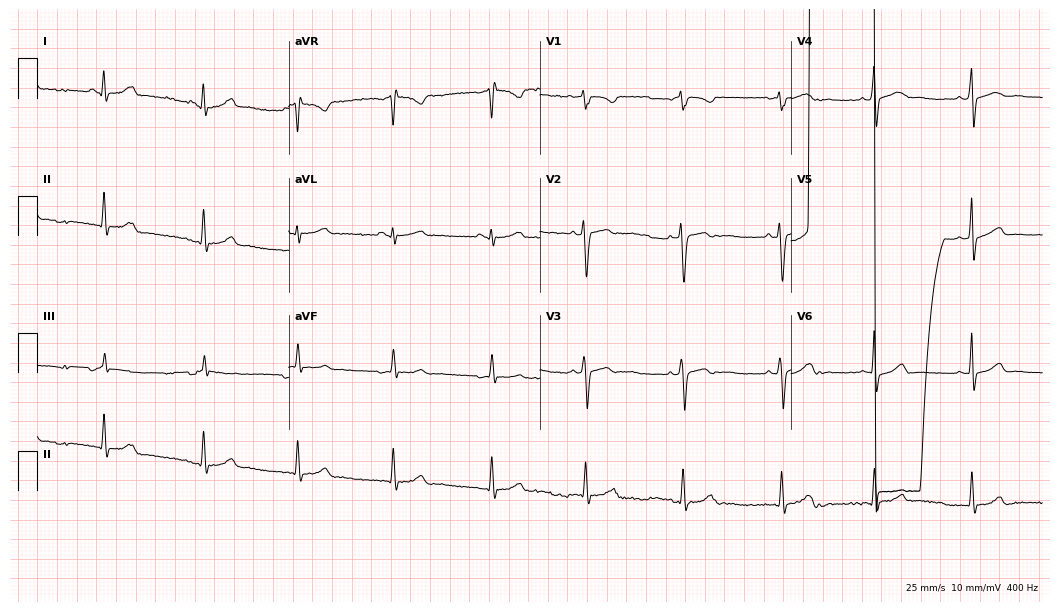
Resting 12-lead electrocardiogram. Patient: a 28-year-old female. Read as a normal ECG.